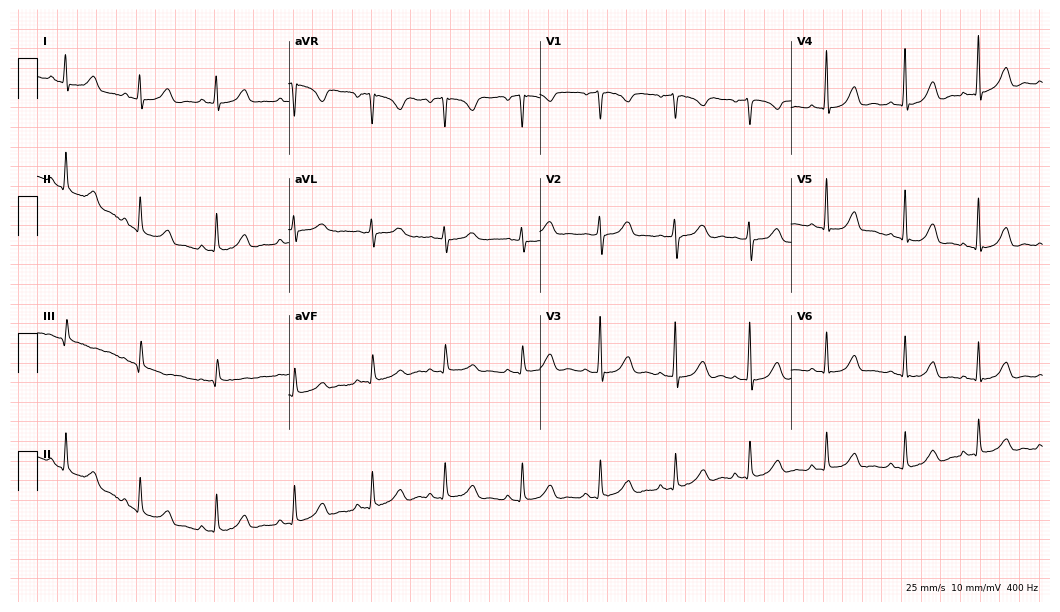
ECG — a 37-year-old female patient. Labelled as a normal ECG.